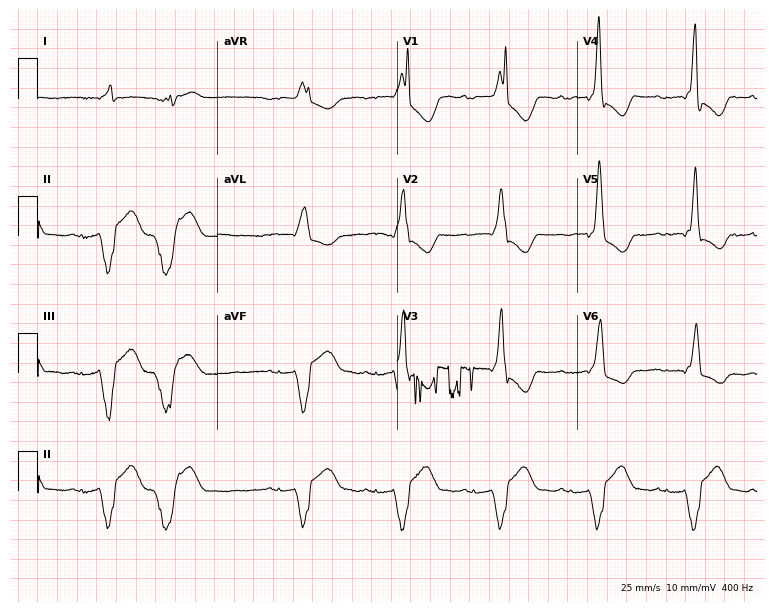
Resting 12-lead electrocardiogram. Patient: a male, 72 years old. The tracing shows first-degree AV block, right bundle branch block.